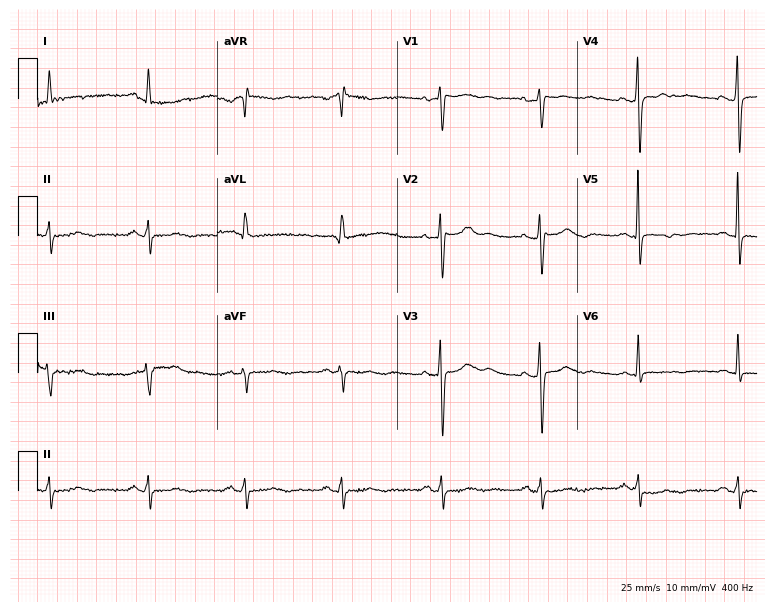
12-lead ECG (7.3-second recording at 400 Hz) from a woman, 85 years old. Screened for six findings — first-degree AV block, right bundle branch block, left bundle branch block, sinus bradycardia, atrial fibrillation, sinus tachycardia — none is recorded.